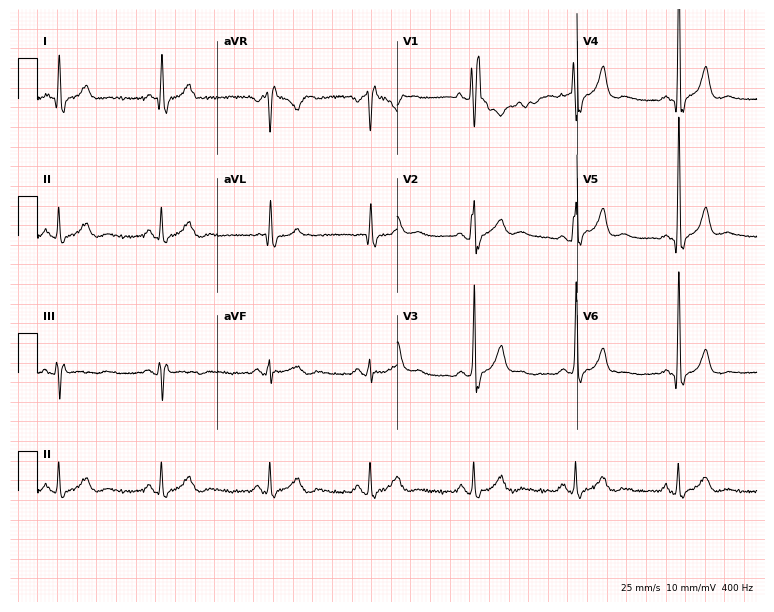
12-lead ECG from a 76-year-old male (7.3-second recording at 400 Hz). Shows right bundle branch block (RBBB).